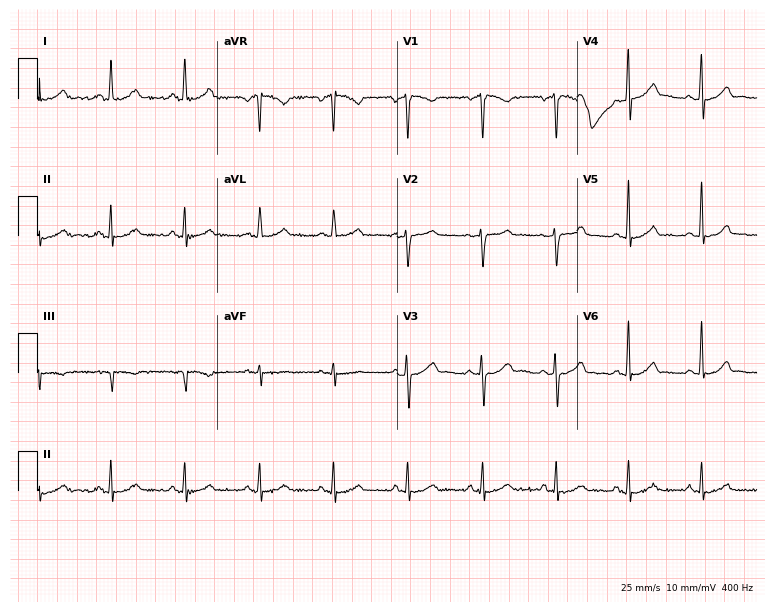
12-lead ECG from a 39-year-old female patient (7.3-second recording at 400 Hz). No first-degree AV block, right bundle branch block, left bundle branch block, sinus bradycardia, atrial fibrillation or sinus tachycardia recorded for this tracing. Other findings, if any, are not listed.